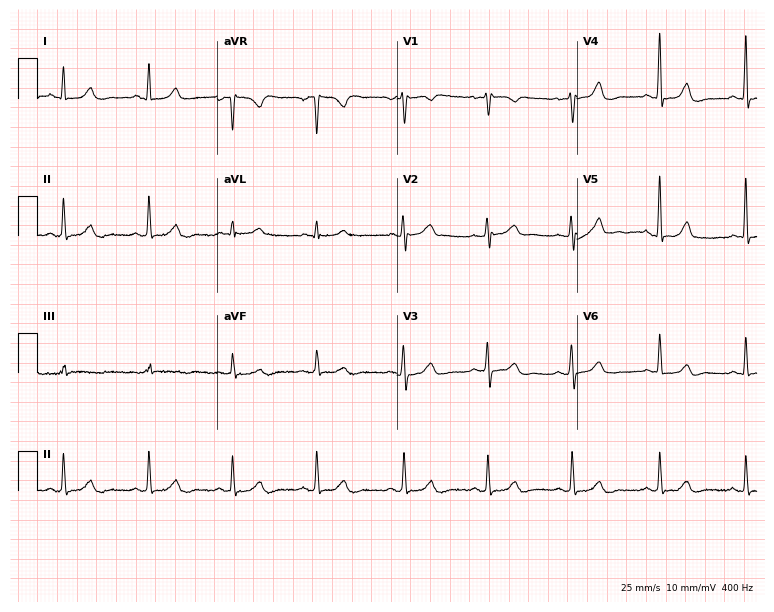
ECG (7.3-second recording at 400 Hz) — a female, 47 years old. Labelled as a normal ECG.